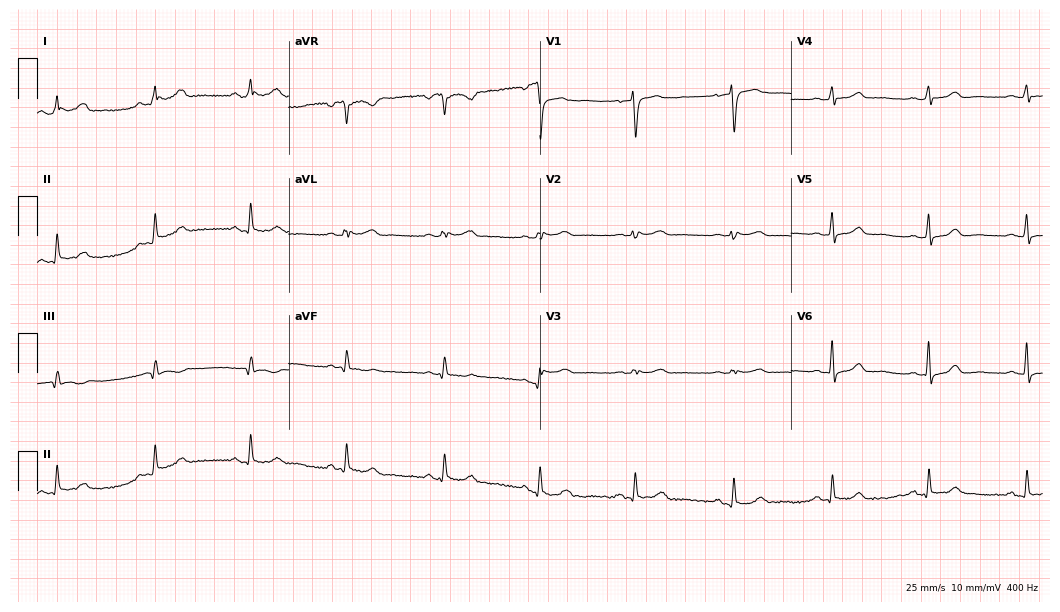
12-lead ECG from a 57-year-old female patient (10.2-second recording at 400 Hz). Recorded interpretation: within normal limits.